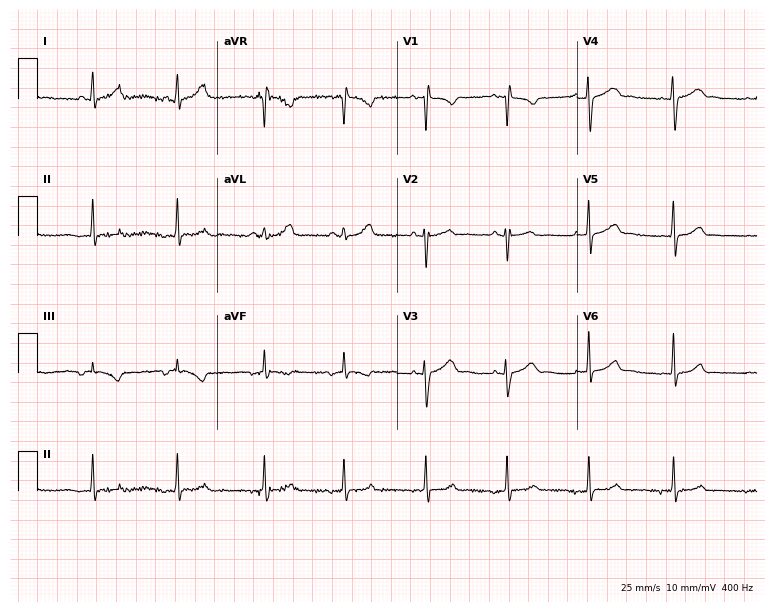
Standard 12-lead ECG recorded from a female, 27 years old (7.3-second recording at 400 Hz). None of these six findings is recorded: first-degree AV block, right bundle branch block, left bundle branch block, sinus bradycardia, atrial fibrillation, sinus tachycardia.